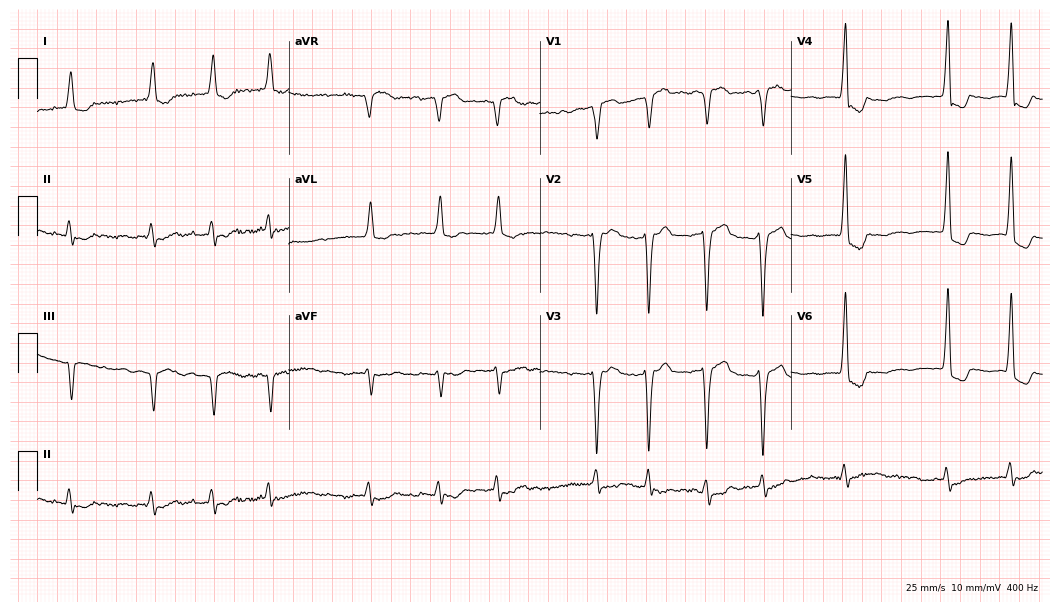
12-lead ECG from a 74-year-old female patient. Findings include atrial fibrillation (AF).